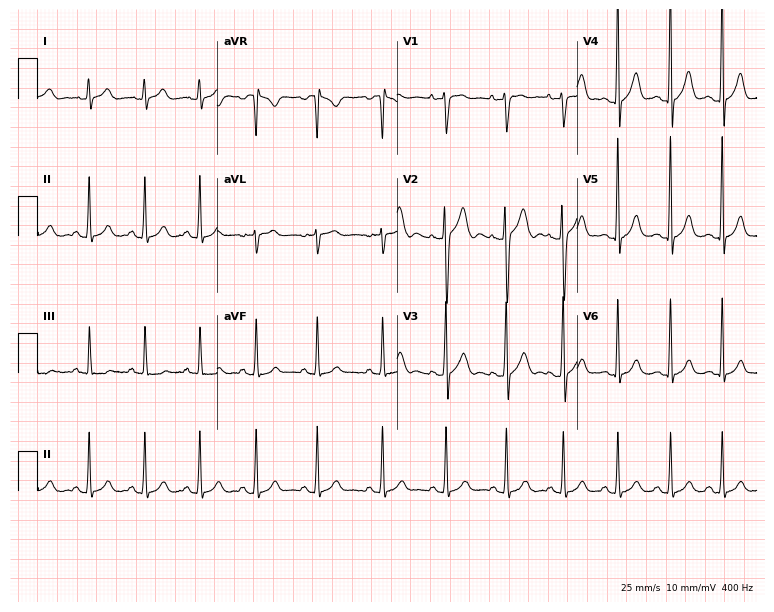
ECG — a male patient, 19 years old. Findings include sinus tachycardia (a sinus rate of 100 beats per minute or more).